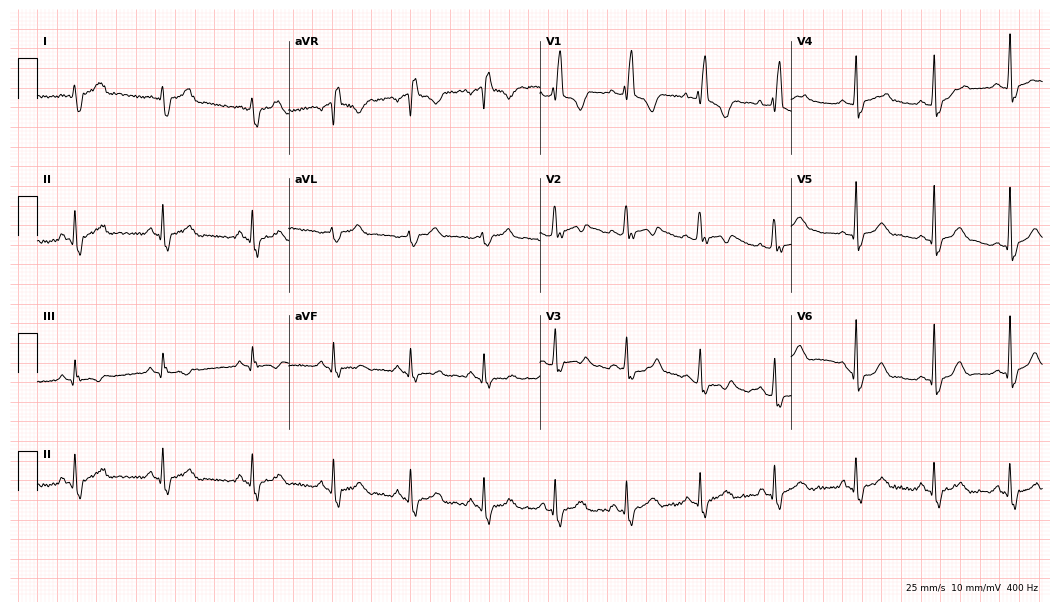
12-lead ECG (10.2-second recording at 400 Hz) from a man, 27 years old. Screened for six findings — first-degree AV block, right bundle branch block, left bundle branch block, sinus bradycardia, atrial fibrillation, sinus tachycardia — none is recorded. Findings outside these six are not listed.